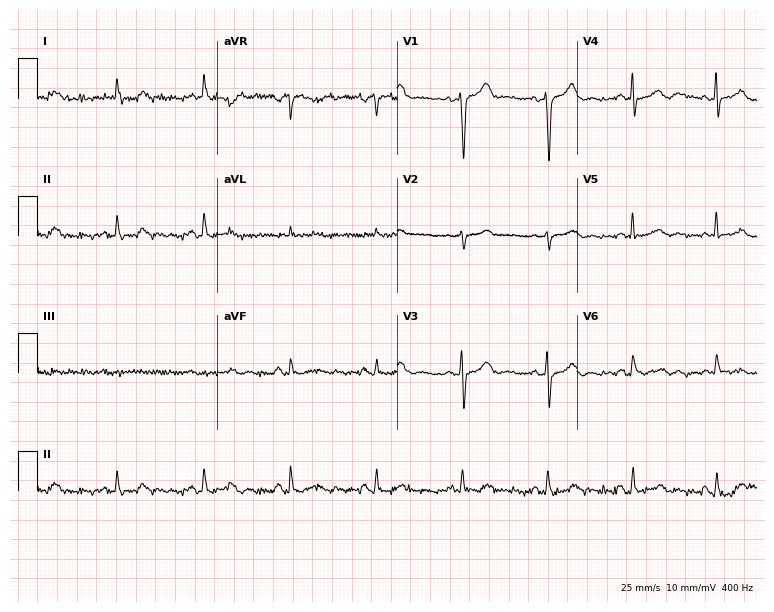
12-lead ECG from a woman, 64 years old. Labelled as a normal ECG.